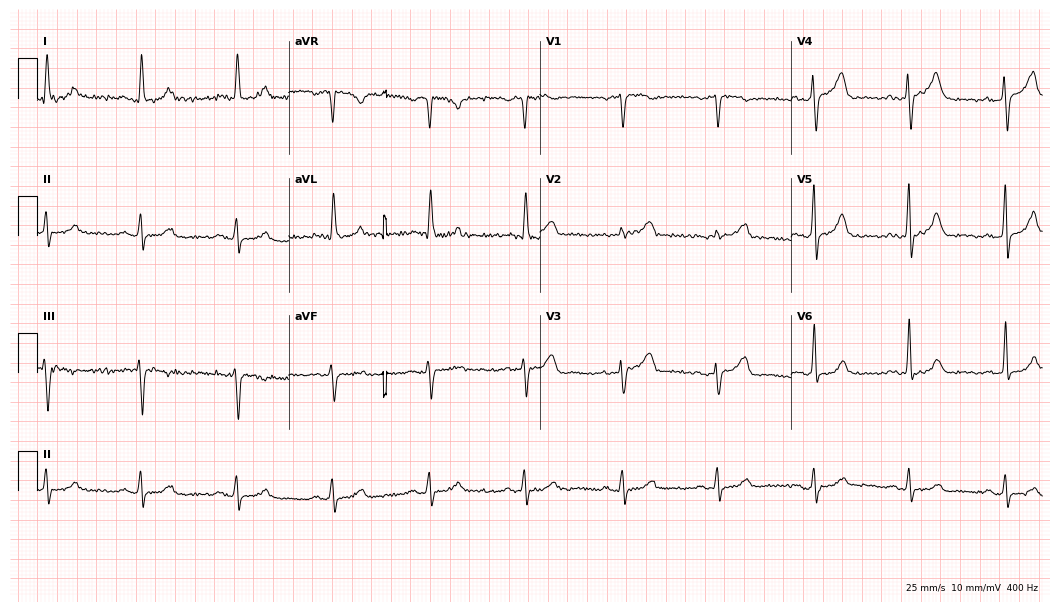
ECG — a female, 59 years old. Labelled as a normal ECG.